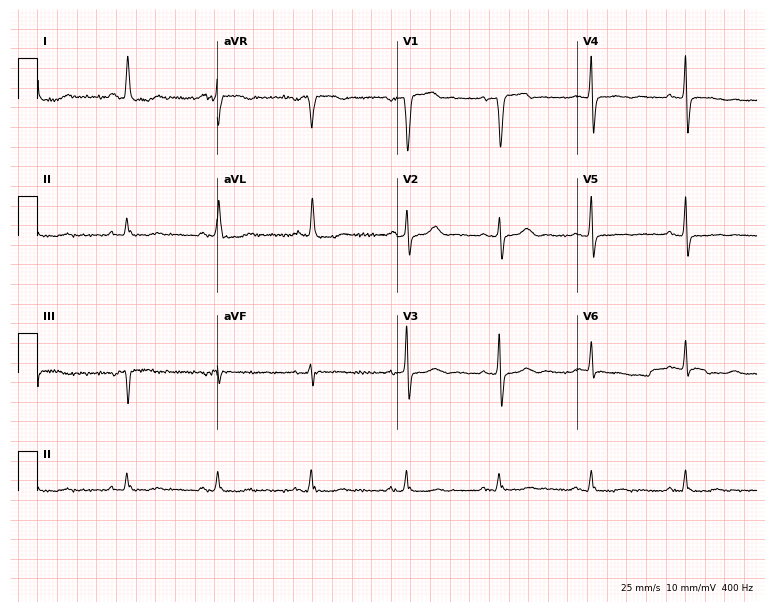
12-lead ECG from a 66-year-old female. Screened for six findings — first-degree AV block, right bundle branch block, left bundle branch block, sinus bradycardia, atrial fibrillation, sinus tachycardia — none is recorded. Only these six findings were labelled.